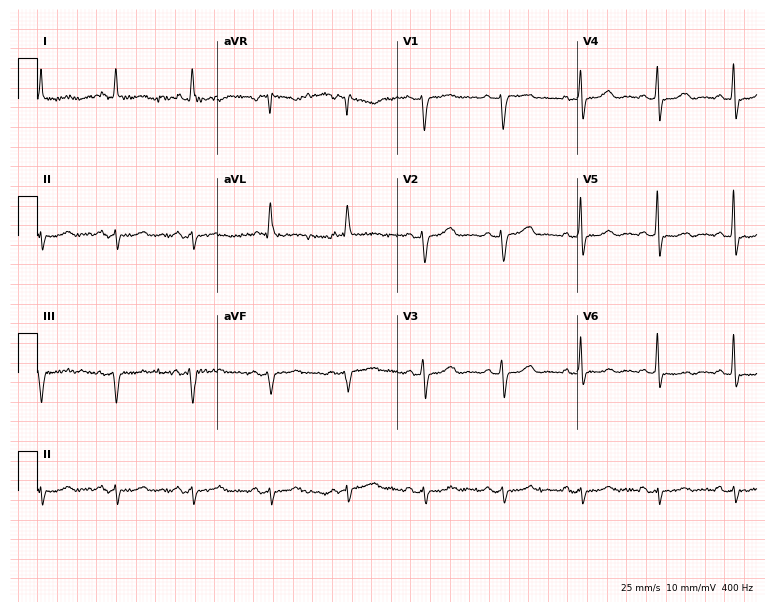
Resting 12-lead electrocardiogram. Patient: a woman, 69 years old. None of these six findings is recorded: first-degree AV block, right bundle branch block, left bundle branch block, sinus bradycardia, atrial fibrillation, sinus tachycardia. Other findings, if any, are not listed.